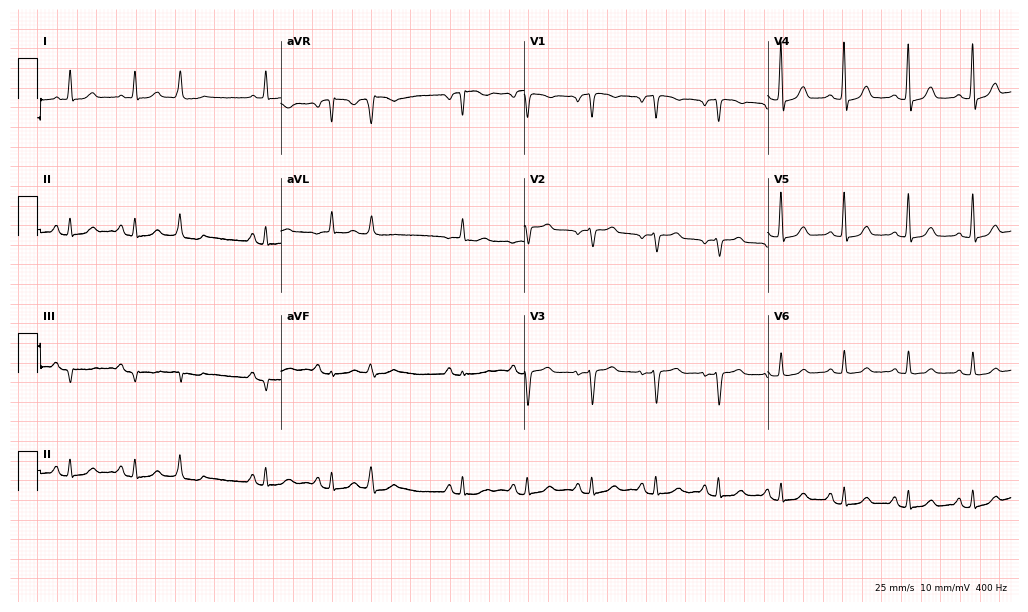
Standard 12-lead ECG recorded from a 76-year-old female patient. Read as a normal ECG.